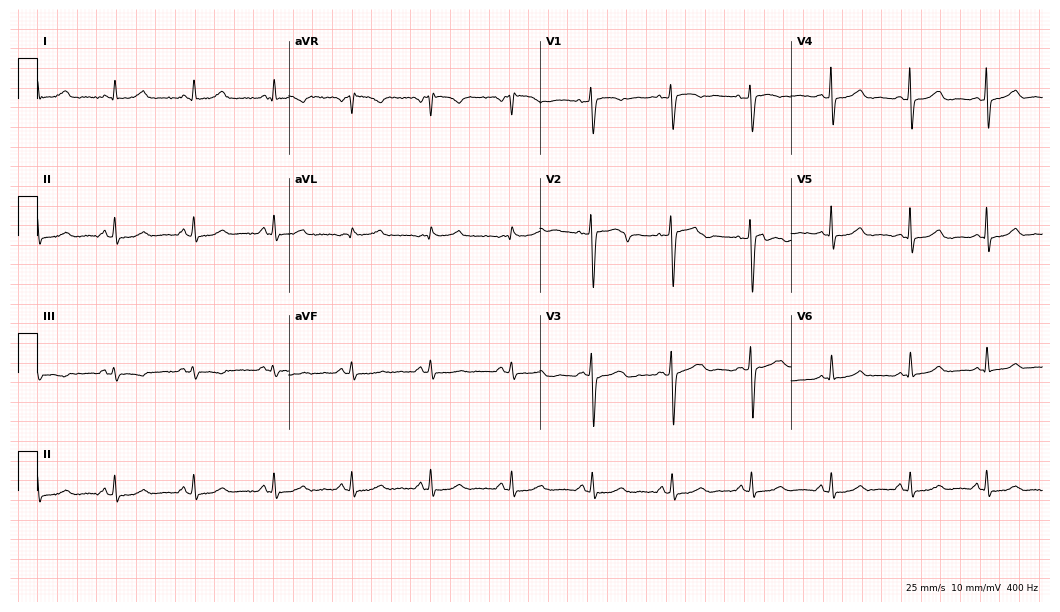
Standard 12-lead ECG recorded from a 44-year-old woman (10.2-second recording at 400 Hz). None of these six findings is recorded: first-degree AV block, right bundle branch block (RBBB), left bundle branch block (LBBB), sinus bradycardia, atrial fibrillation (AF), sinus tachycardia. Only these six findings were labelled.